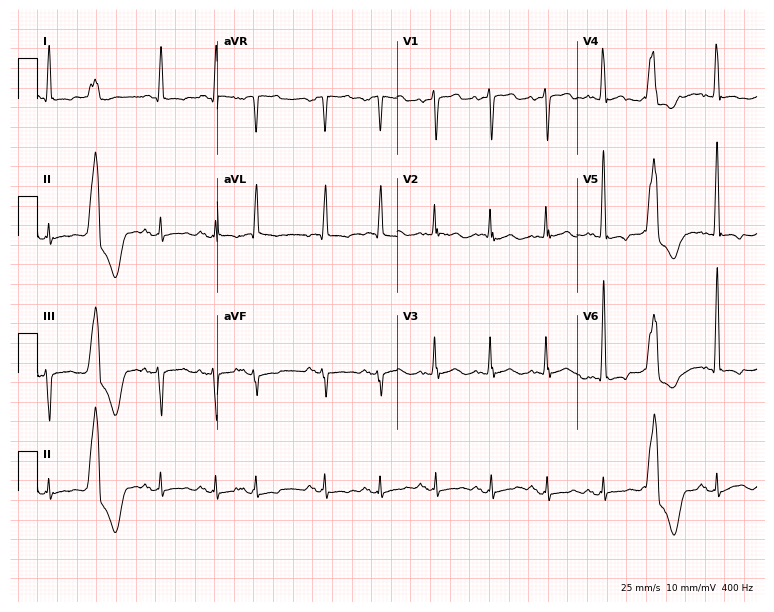
12-lead ECG from a man, 71 years old. No first-degree AV block, right bundle branch block, left bundle branch block, sinus bradycardia, atrial fibrillation or sinus tachycardia recorded for this tracing. Findings outside these six are not listed.